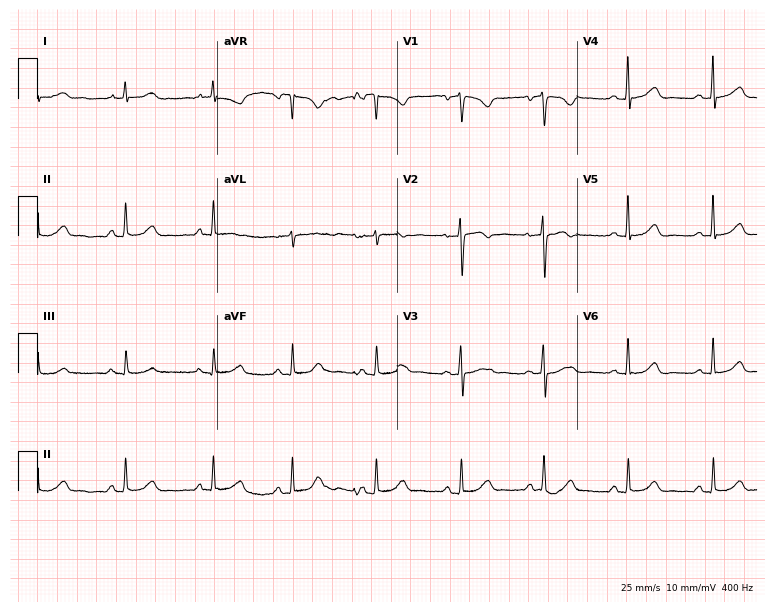
Electrocardiogram (7.3-second recording at 400 Hz), a female, 35 years old. Overall reading on record: normal ECG.